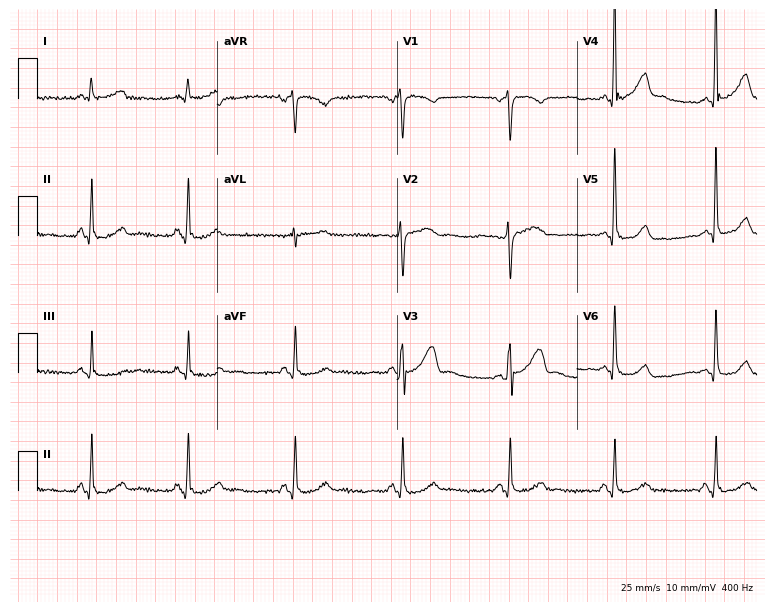
Resting 12-lead electrocardiogram (7.3-second recording at 400 Hz). Patient: a 58-year-old male. Read as a normal ECG.